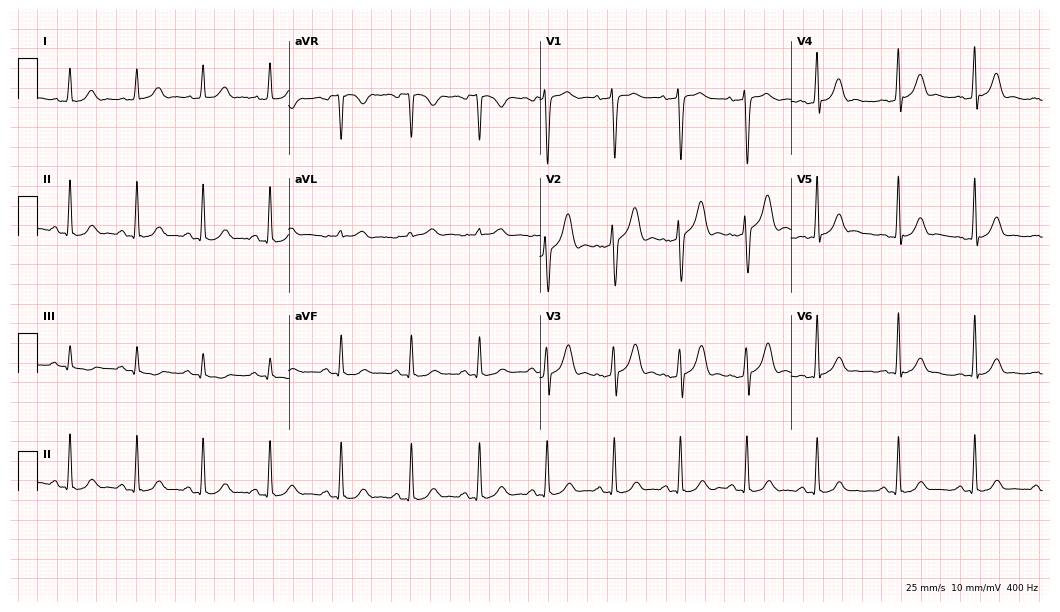
Standard 12-lead ECG recorded from a male, 25 years old (10.2-second recording at 400 Hz). Read as a normal ECG.